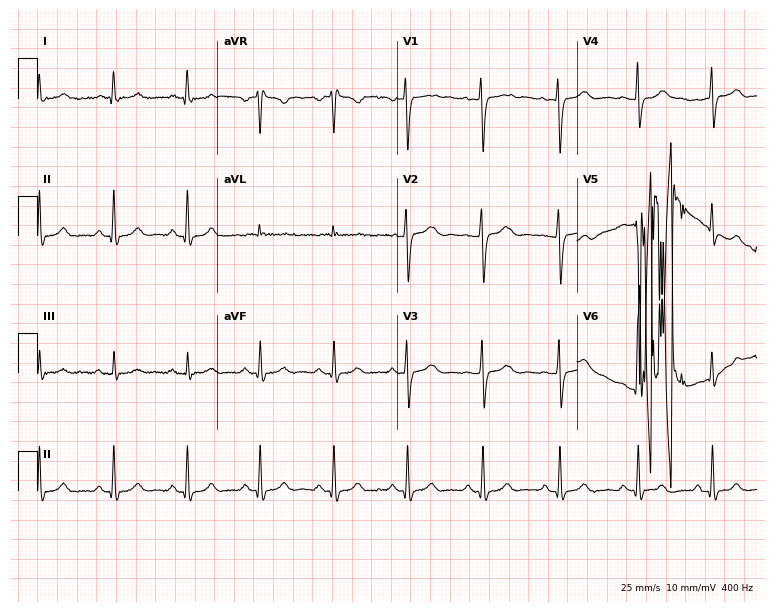
Standard 12-lead ECG recorded from a woman, 18 years old. None of these six findings is recorded: first-degree AV block, right bundle branch block, left bundle branch block, sinus bradycardia, atrial fibrillation, sinus tachycardia.